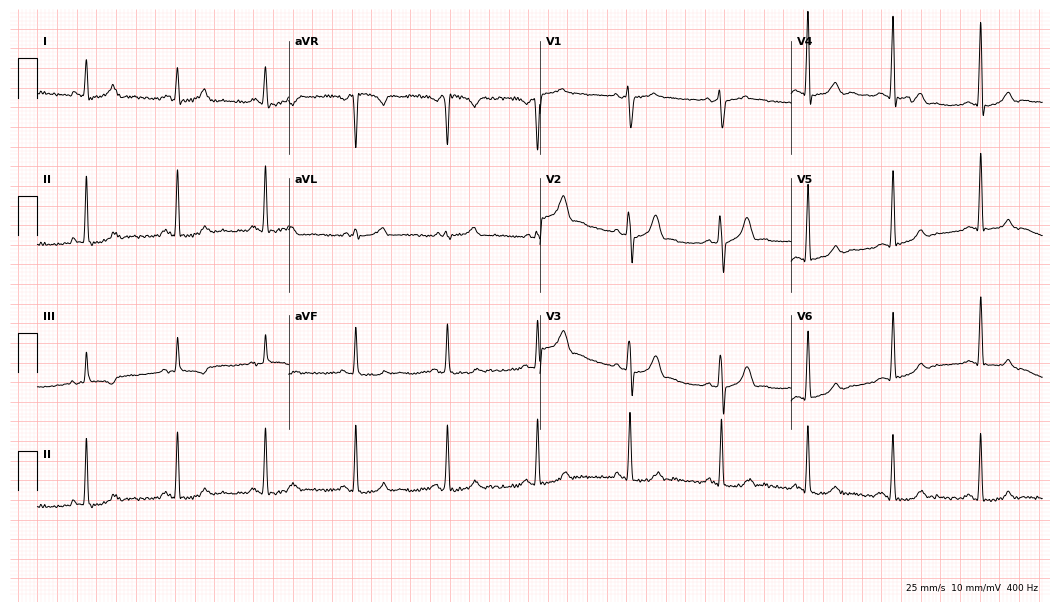
Resting 12-lead electrocardiogram. Patient: a 44-year-old male. Read as a normal ECG.